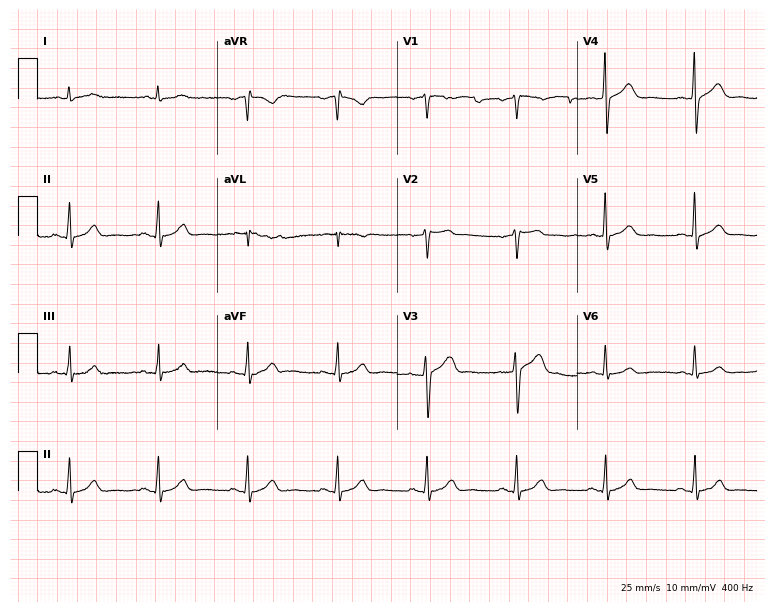
ECG — a male patient, 56 years old. Labelled as a normal ECG.